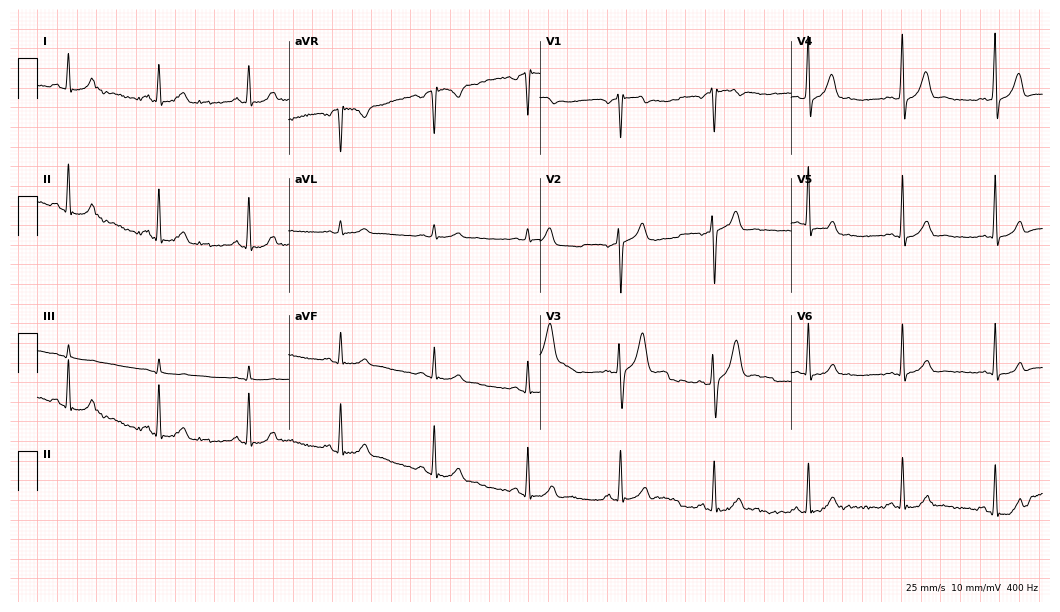
Electrocardiogram, a 51-year-old man. Overall reading on record: normal ECG.